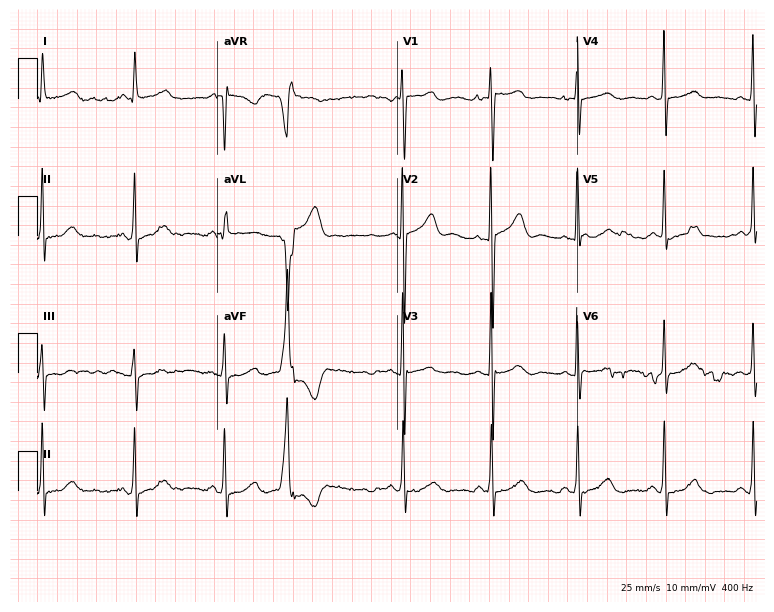
Standard 12-lead ECG recorded from a female patient, 45 years old. None of these six findings is recorded: first-degree AV block, right bundle branch block, left bundle branch block, sinus bradycardia, atrial fibrillation, sinus tachycardia.